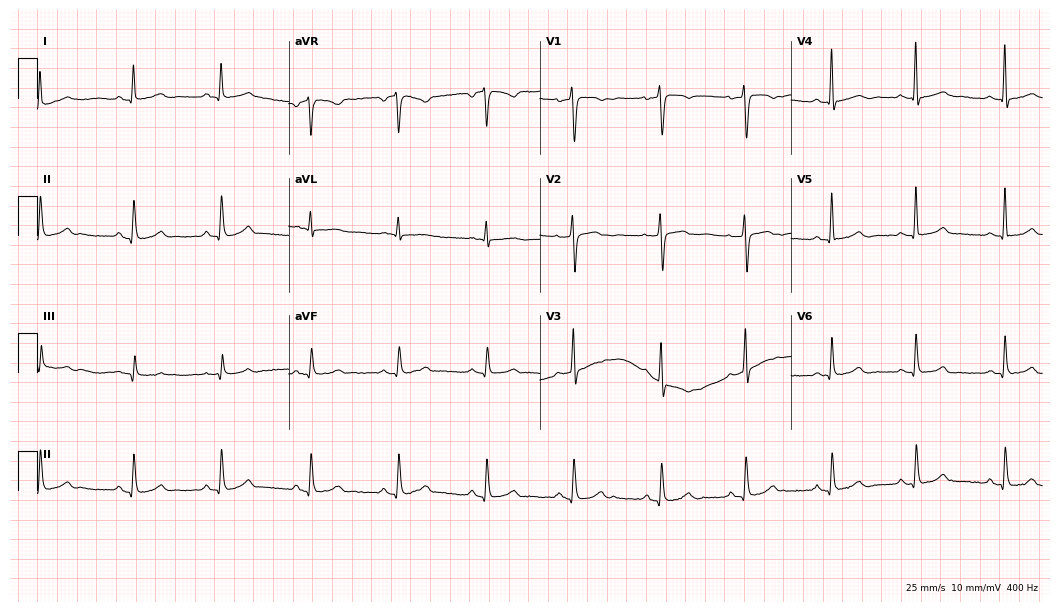
12-lead ECG from a female, 46 years old (10.2-second recording at 400 Hz). Recorded interpretation: within normal limits.